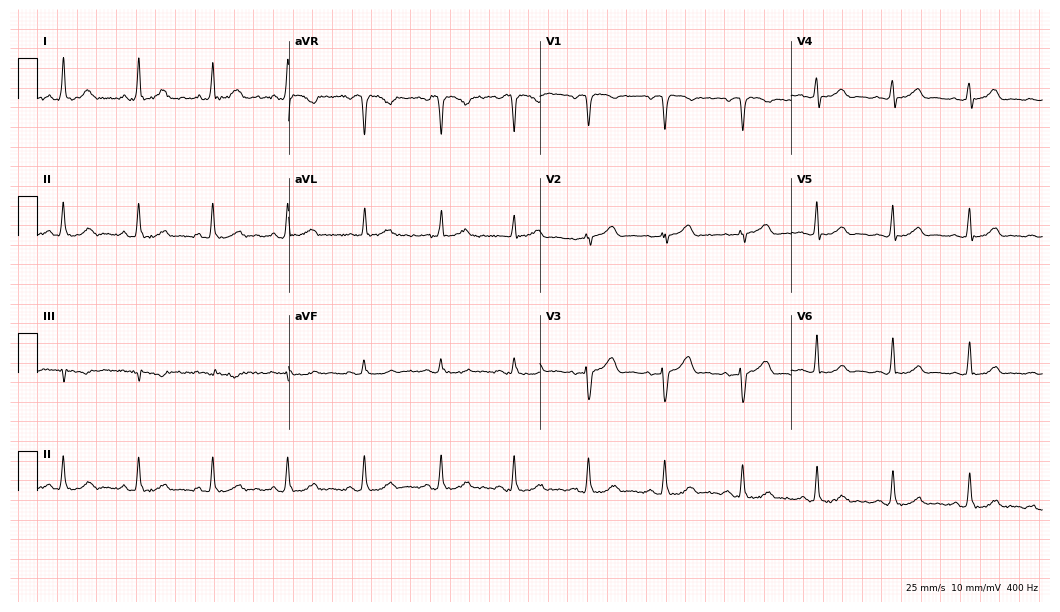
12-lead ECG from a 48-year-old woman. Recorded interpretation: within normal limits.